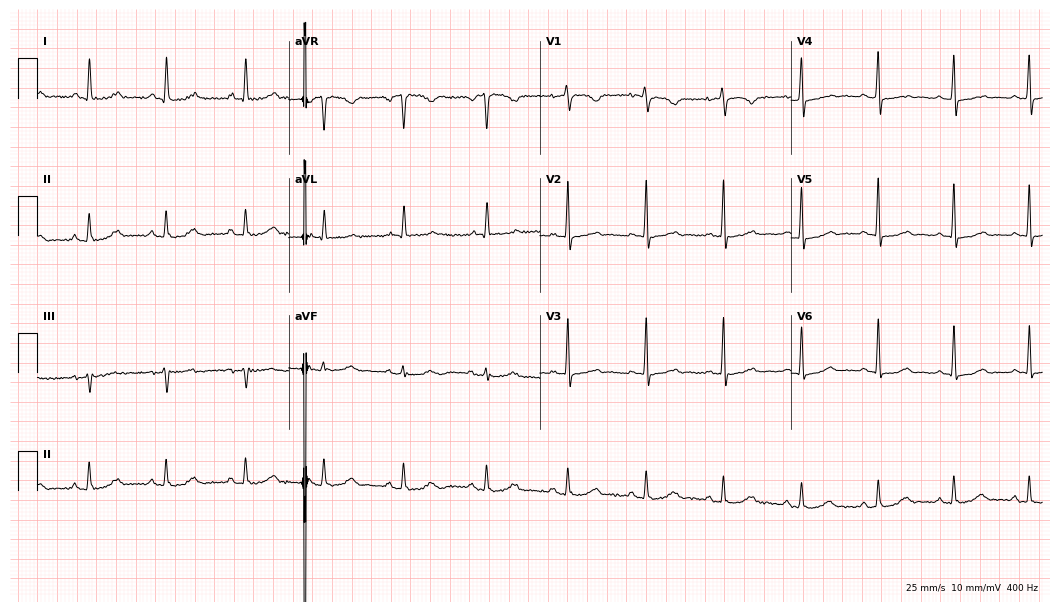
Standard 12-lead ECG recorded from a female, 68 years old. Read as a normal ECG.